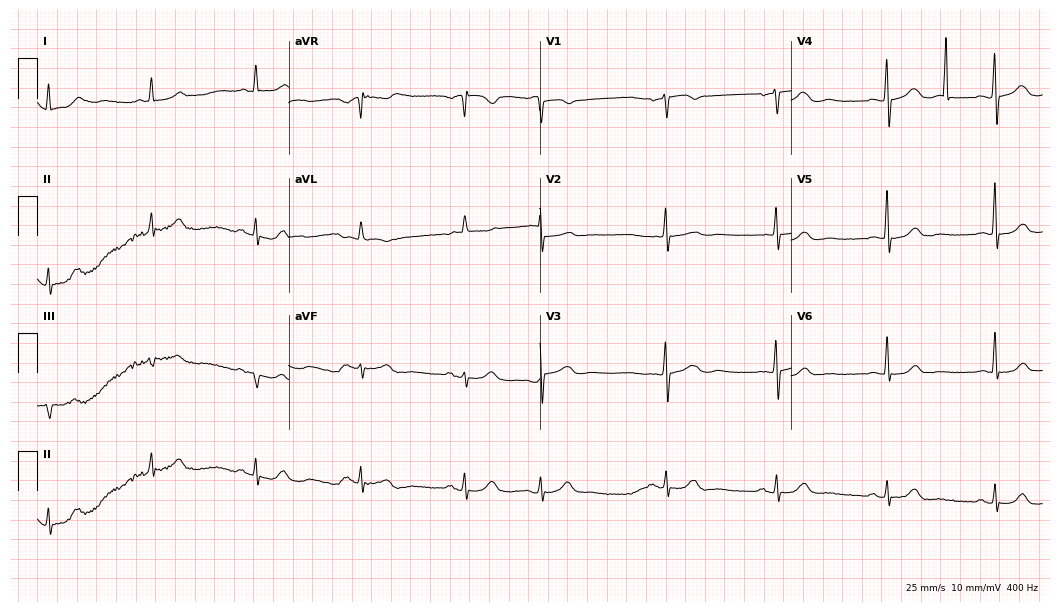
Resting 12-lead electrocardiogram (10.2-second recording at 400 Hz). Patient: a woman, 82 years old. None of these six findings is recorded: first-degree AV block, right bundle branch block, left bundle branch block, sinus bradycardia, atrial fibrillation, sinus tachycardia.